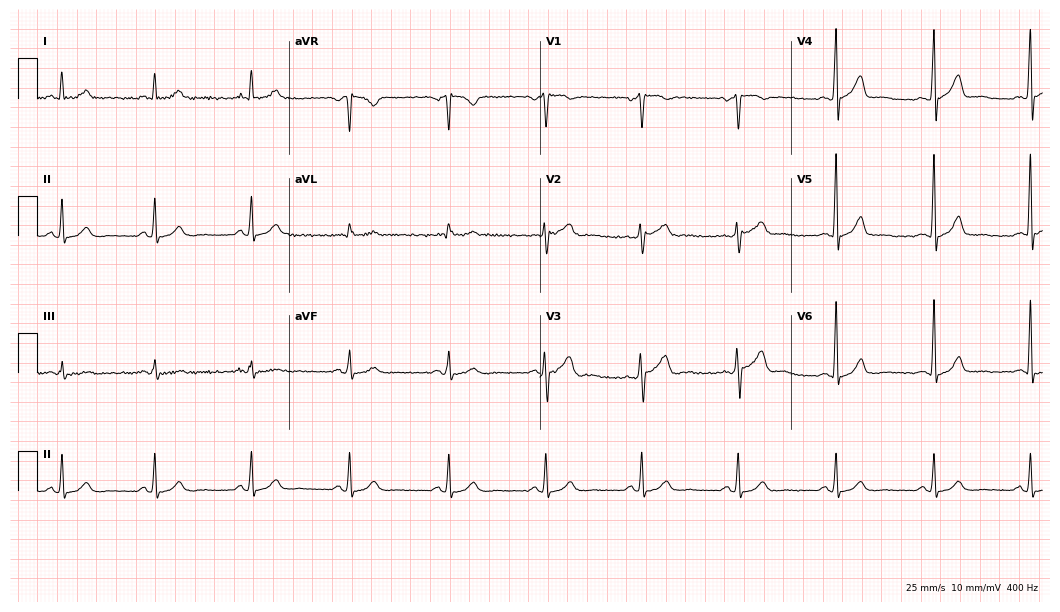
Resting 12-lead electrocardiogram (10.2-second recording at 400 Hz). Patient: a 47-year-old male. Read as a normal ECG.